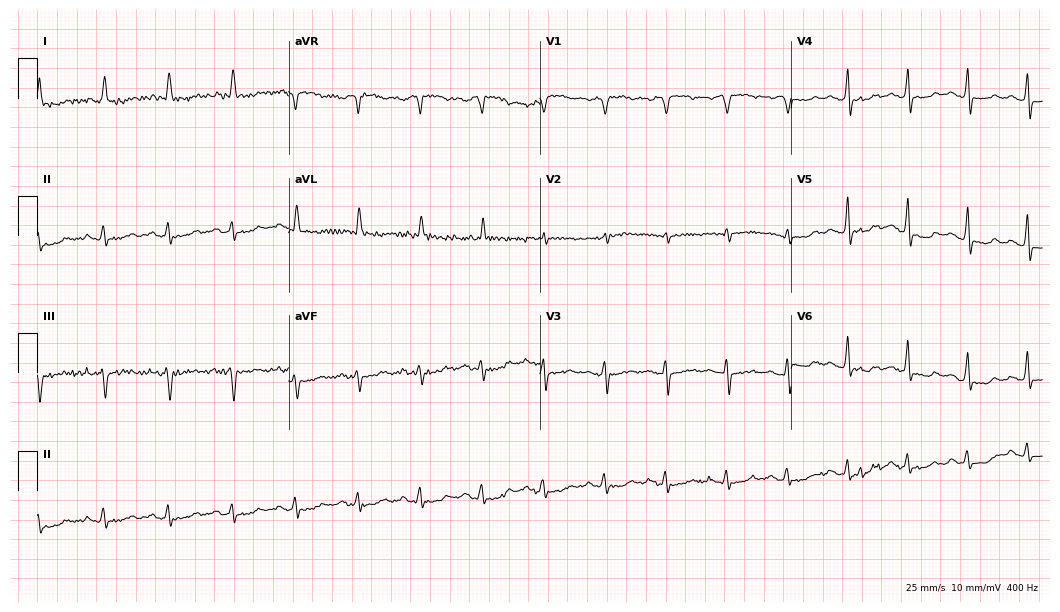
Standard 12-lead ECG recorded from an 84-year-old male (10.2-second recording at 400 Hz). None of these six findings is recorded: first-degree AV block, right bundle branch block, left bundle branch block, sinus bradycardia, atrial fibrillation, sinus tachycardia.